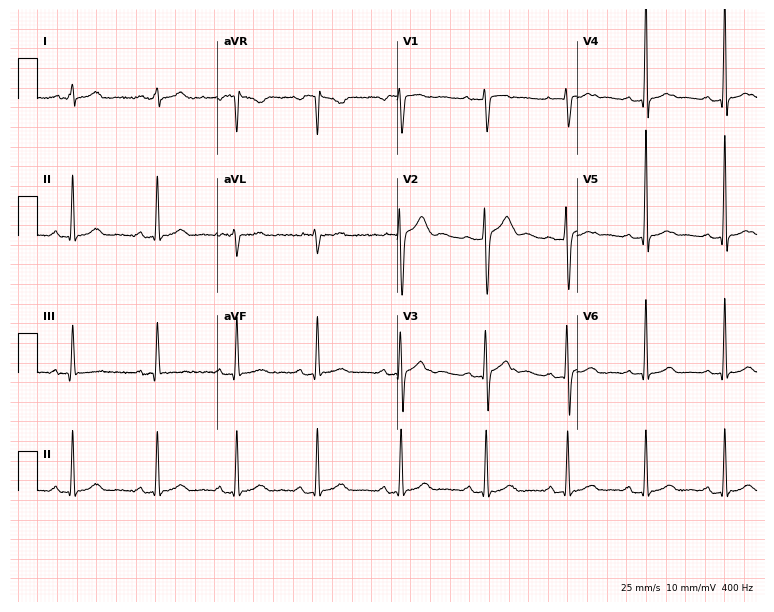
ECG (7.3-second recording at 400 Hz) — a man, 17 years old. Labelled as a normal ECG.